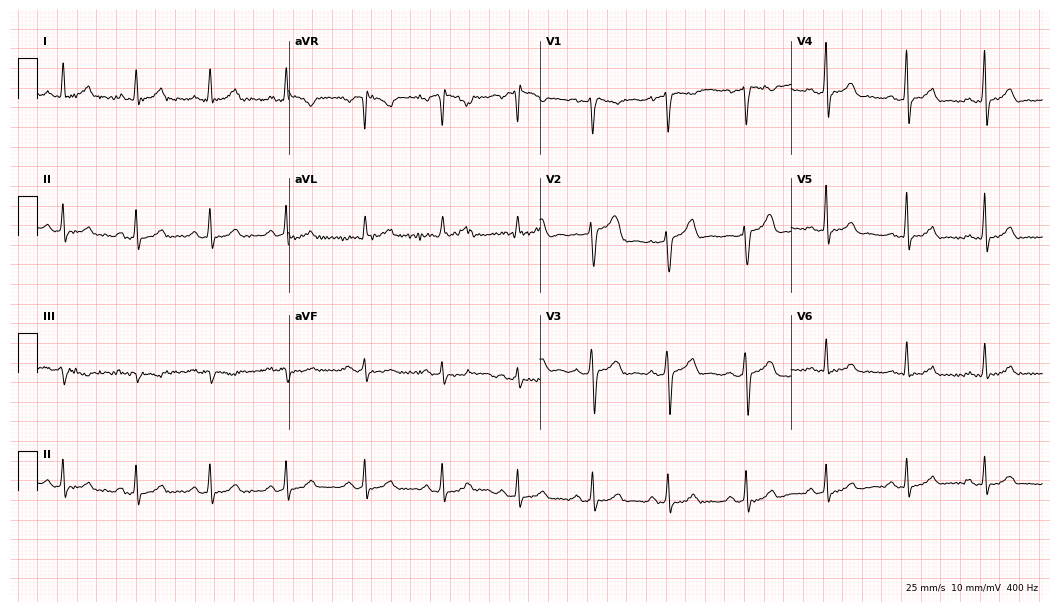
12-lead ECG (10.2-second recording at 400 Hz) from a 50-year-old male. Labelled as a normal ECG.